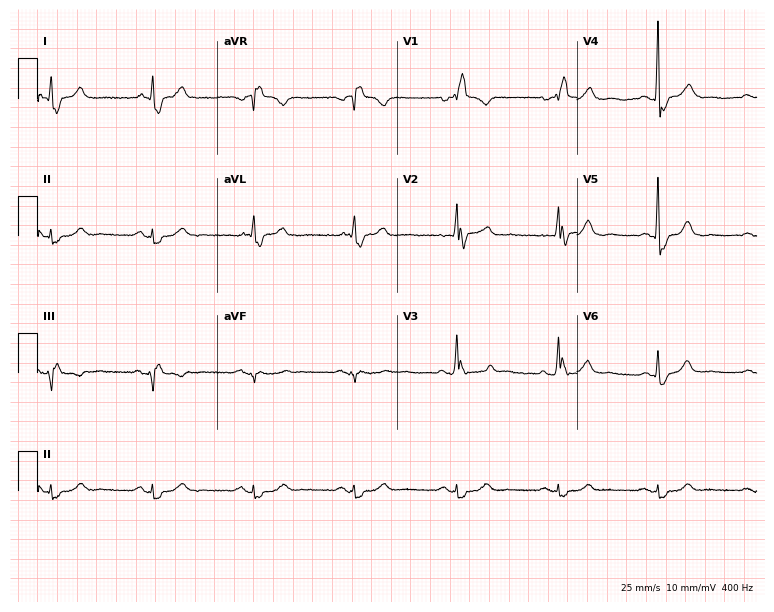
Resting 12-lead electrocardiogram (7.3-second recording at 400 Hz). Patient: a man, 62 years old. The tracing shows right bundle branch block (RBBB).